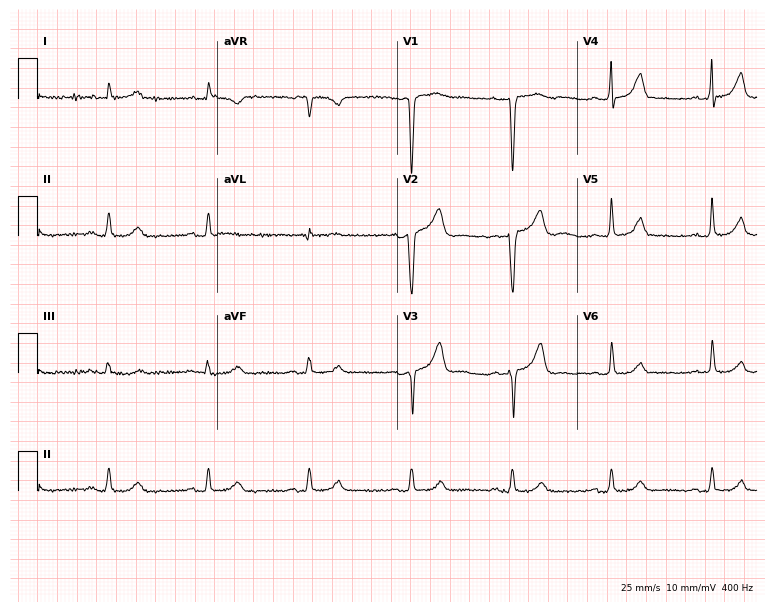
12-lead ECG from a 56-year-old woman (7.3-second recording at 400 Hz). Recorded interpretation: within normal limits.